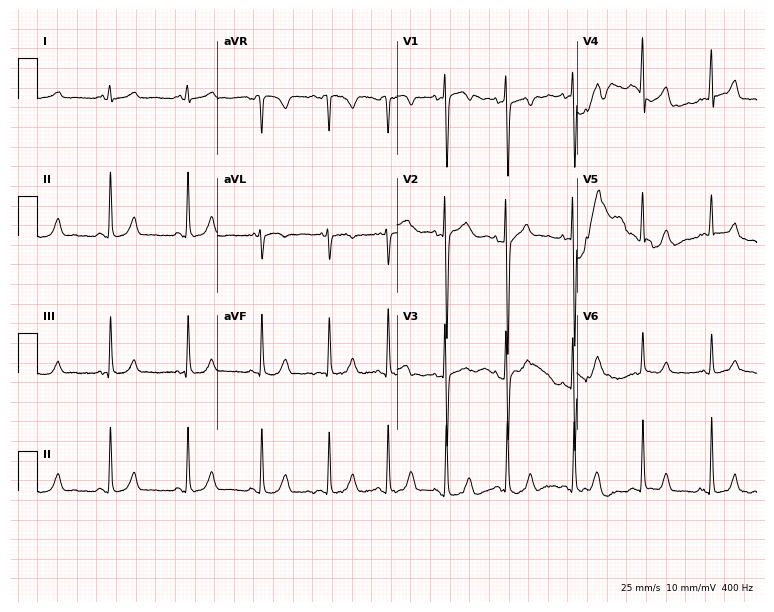
12-lead ECG (7.3-second recording at 400 Hz) from a 20-year-old female patient. Screened for six findings — first-degree AV block, right bundle branch block, left bundle branch block, sinus bradycardia, atrial fibrillation, sinus tachycardia — none is recorded.